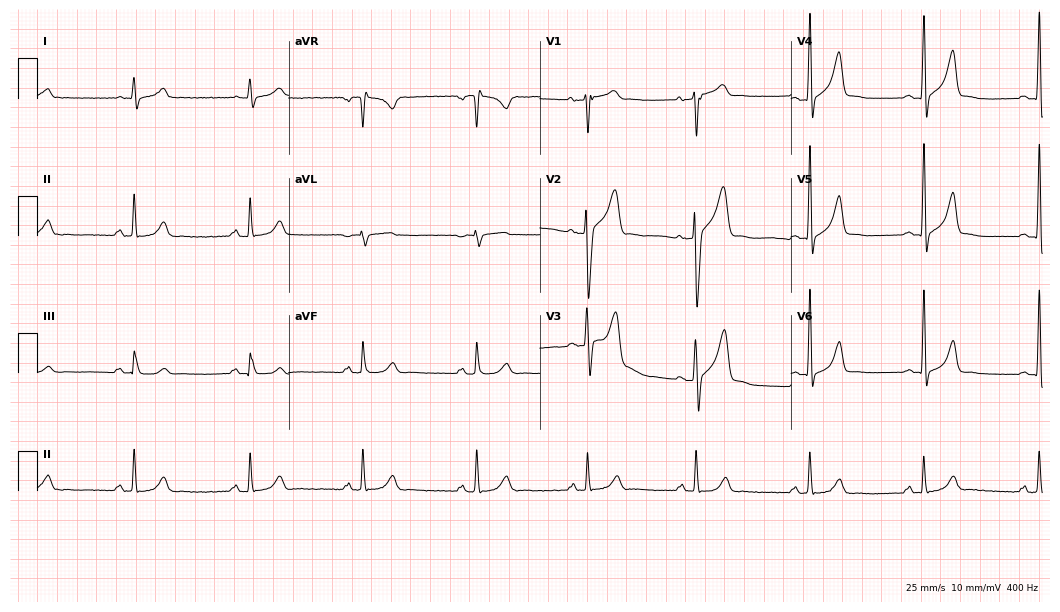
12-lead ECG (10.2-second recording at 400 Hz) from a 51-year-old male patient. Labelled as a normal ECG.